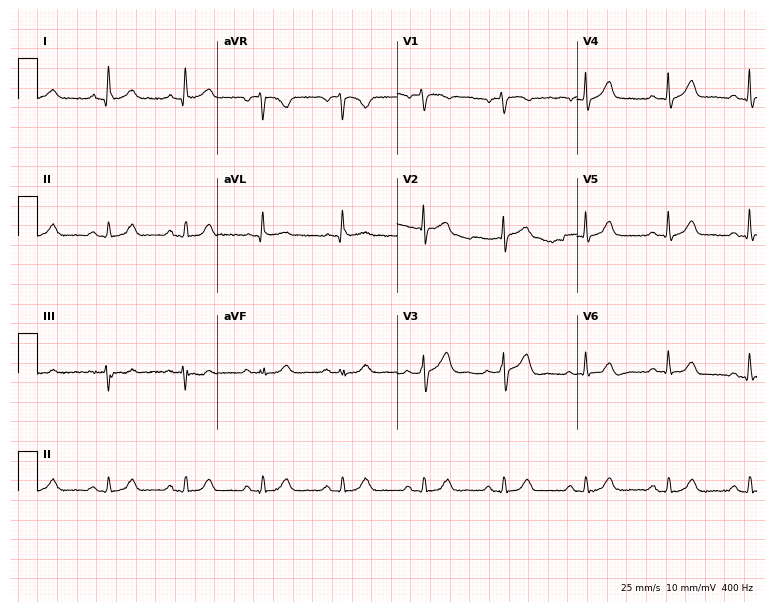
Electrocardiogram (7.3-second recording at 400 Hz), a male patient, 73 years old. Overall reading on record: normal ECG.